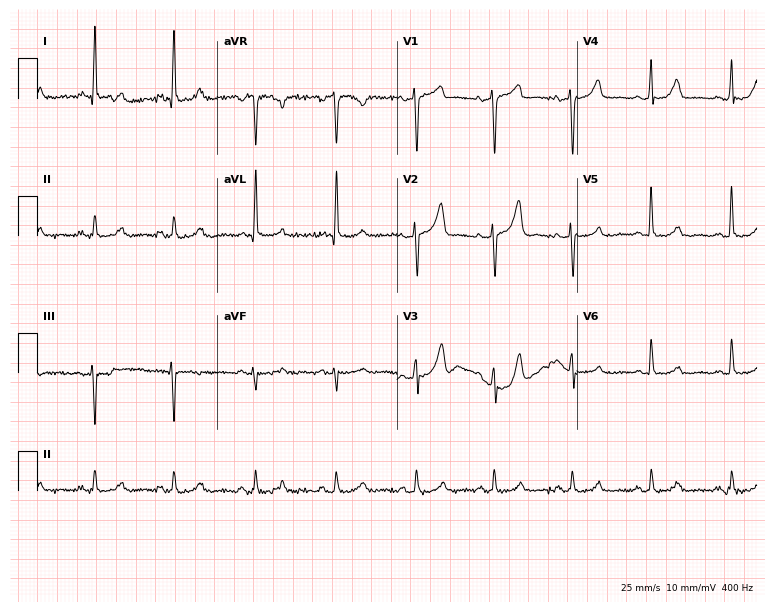
Resting 12-lead electrocardiogram. Patient: a male, 80 years old. None of these six findings is recorded: first-degree AV block, right bundle branch block, left bundle branch block, sinus bradycardia, atrial fibrillation, sinus tachycardia. Other findings, if any, are not listed.